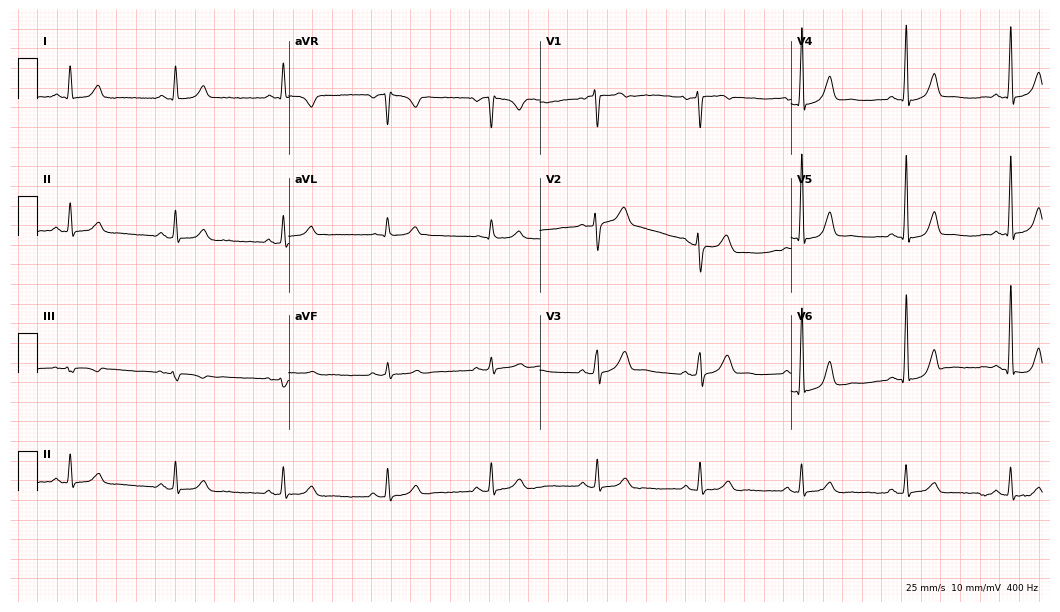
Electrocardiogram, a 47-year-old male patient. Overall reading on record: normal ECG.